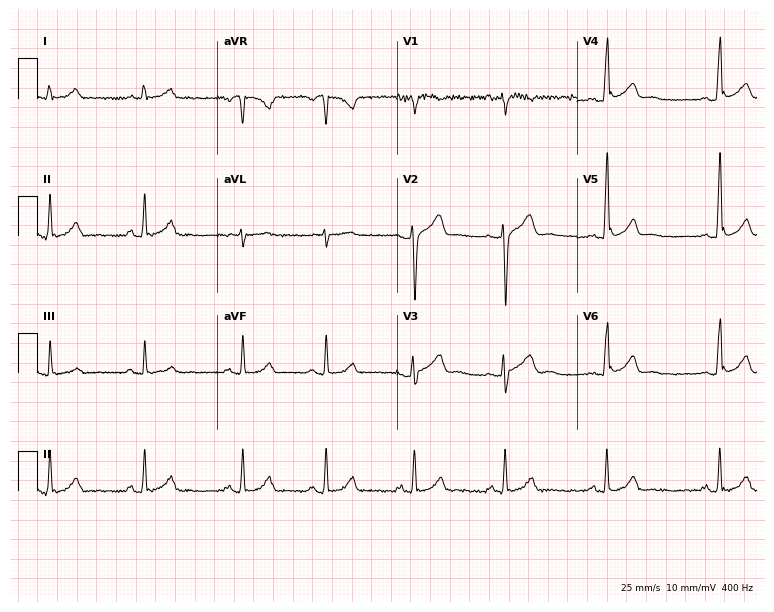
12-lead ECG from a male, 36 years old. Screened for six findings — first-degree AV block, right bundle branch block (RBBB), left bundle branch block (LBBB), sinus bradycardia, atrial fibrillation (AF), sinus tachycardia — none is recorded. Only these six findings were labelled.